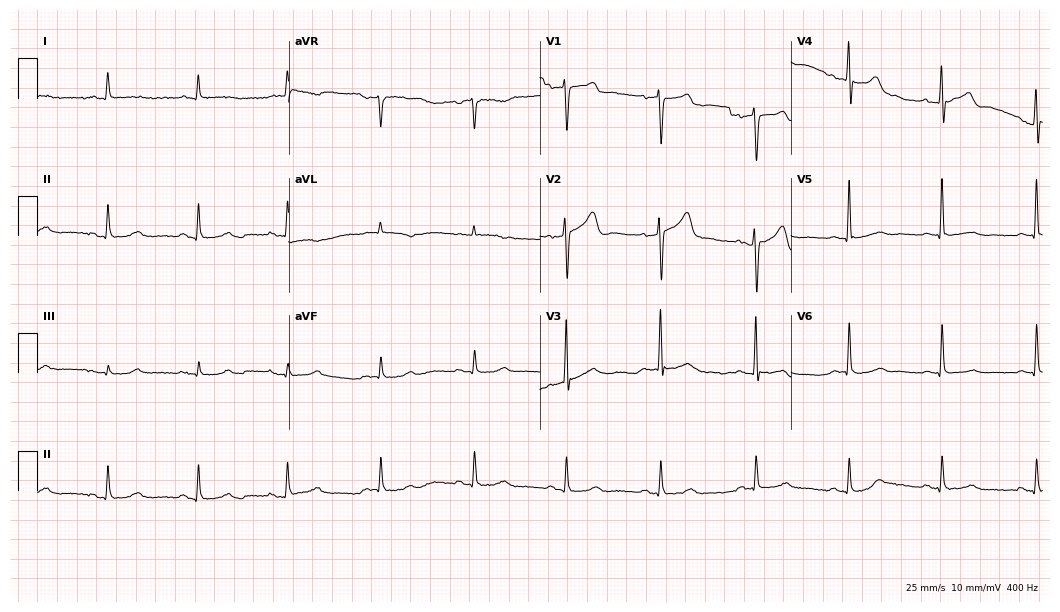
Electrocardiogram, a male, 54 years old. Of the six screened findings (first-degree AV block, right bundle branch block, left bundle branch block, sinus bradycardia, atrial fibrillation, sinus tachycardia), none is recorded. Findings outside these six are not listed.